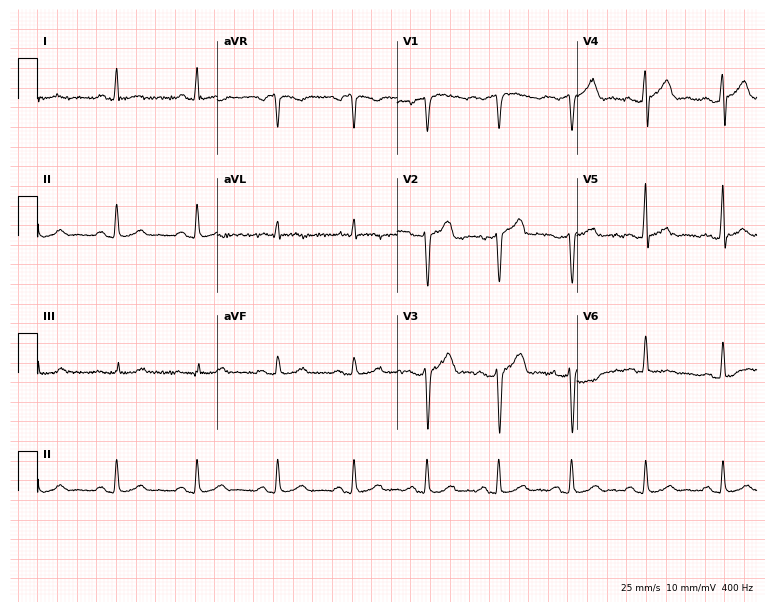
Resting 12-lead electrocardiogram (7.3-second recording at 400 Hz). Patient: a male, 54 years old. Read as a normal ECG.